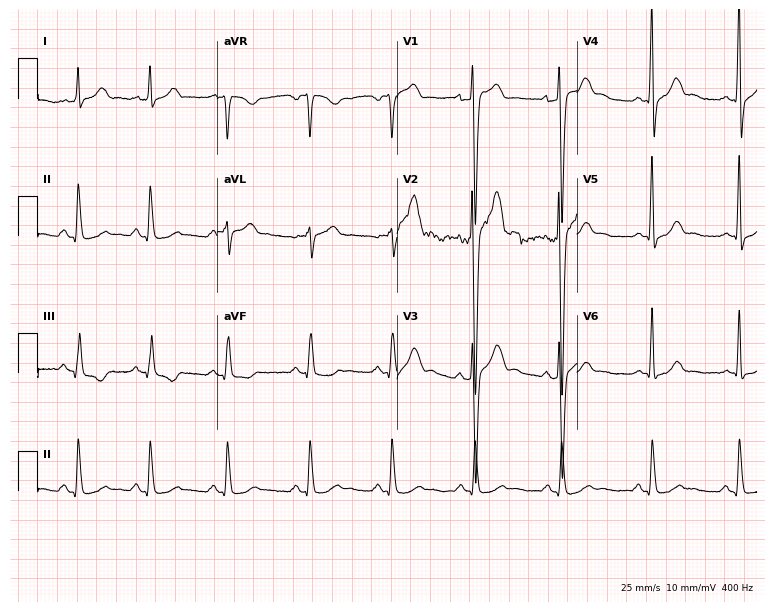
ECG (7.3-second recording at 400 Hz) — a man, 40 years old. Screened for six findings — first-degree AV block, right bundle branch block, left bundle branch block, sinus bradycardia, atrial fibrillation, sinus tachycardia — none is recorded.